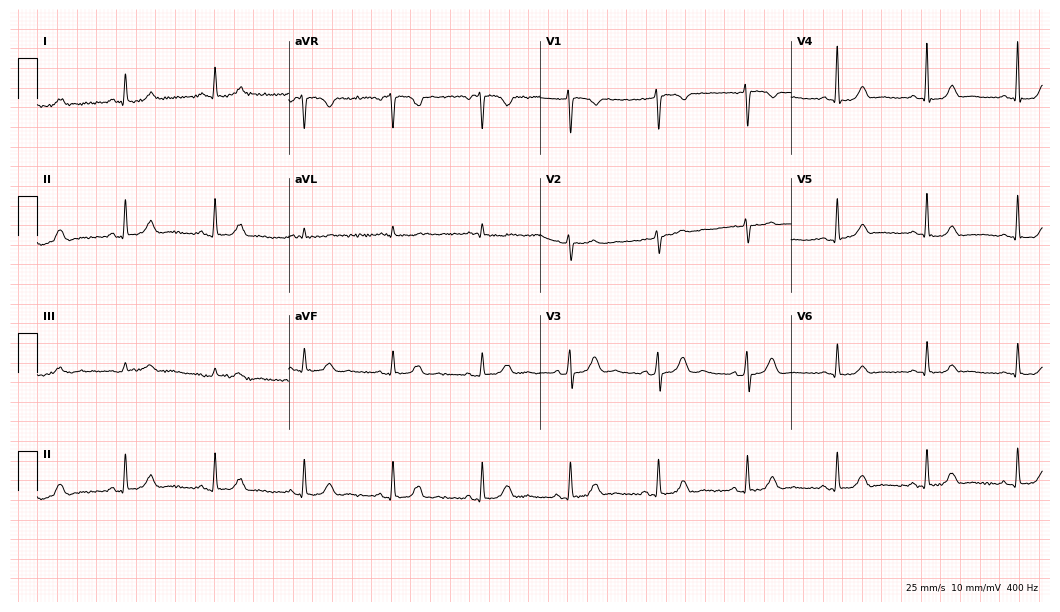
Electrocardiogram, a female patient, 50 years old. Of the six screened findings (first-degree AV block, right bundle branch block, left bundle branch block, sinus bradycardia, atrial fibrillation, sinus tachycardia), none is recorded.